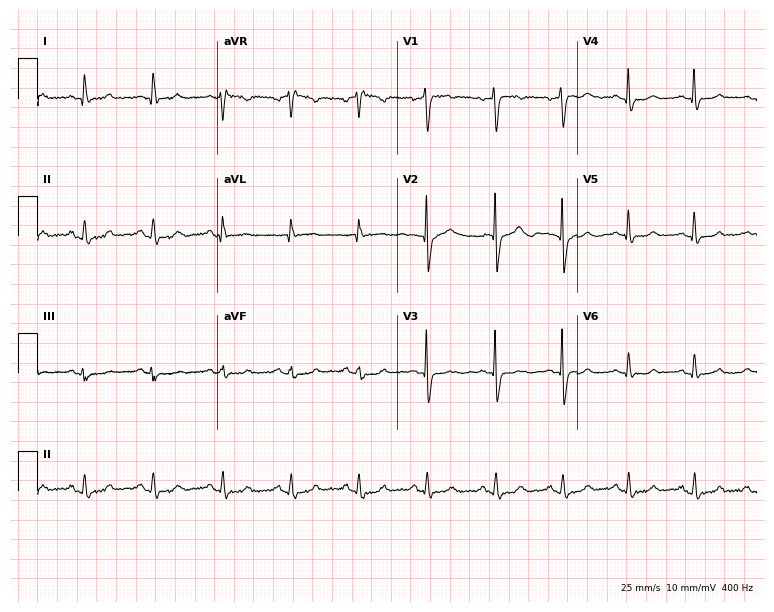
ECG (7.3-second recording at 400 Hz) — a 46-year-old male. Labelled as a normal ECG.